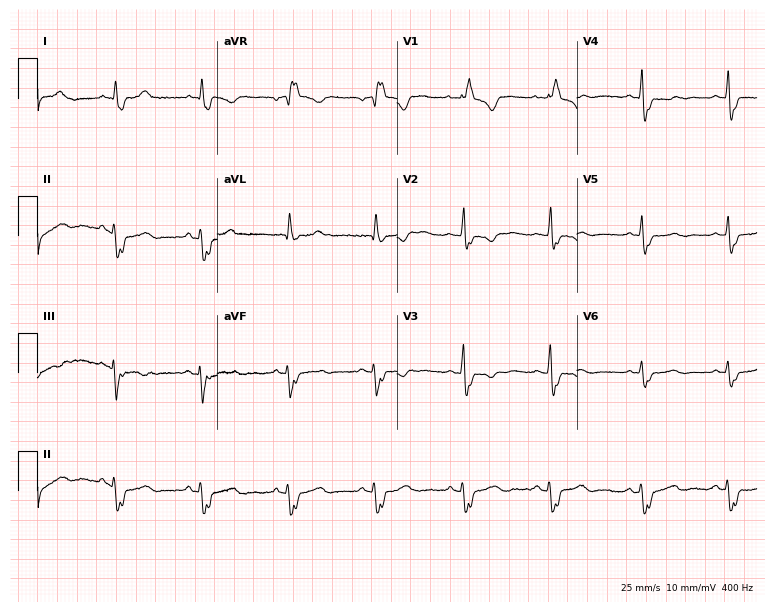
Standard 12-lead ECG recorded from a 46-year-old female. The tracing shows right bundle branch block (RBBB).